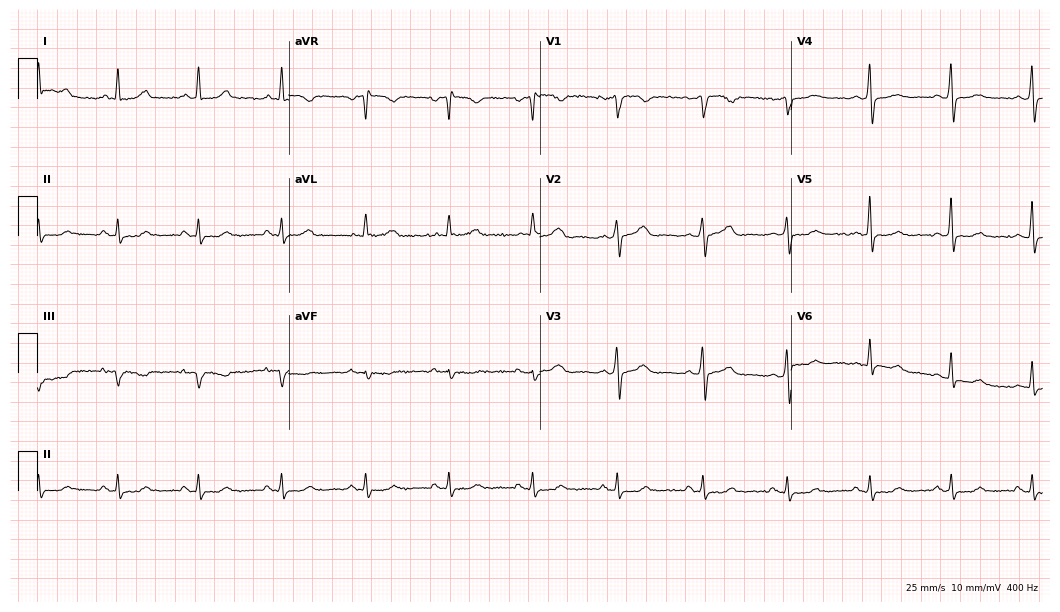
ECG — a 49-year-old female. Labelled as a normal ECG.